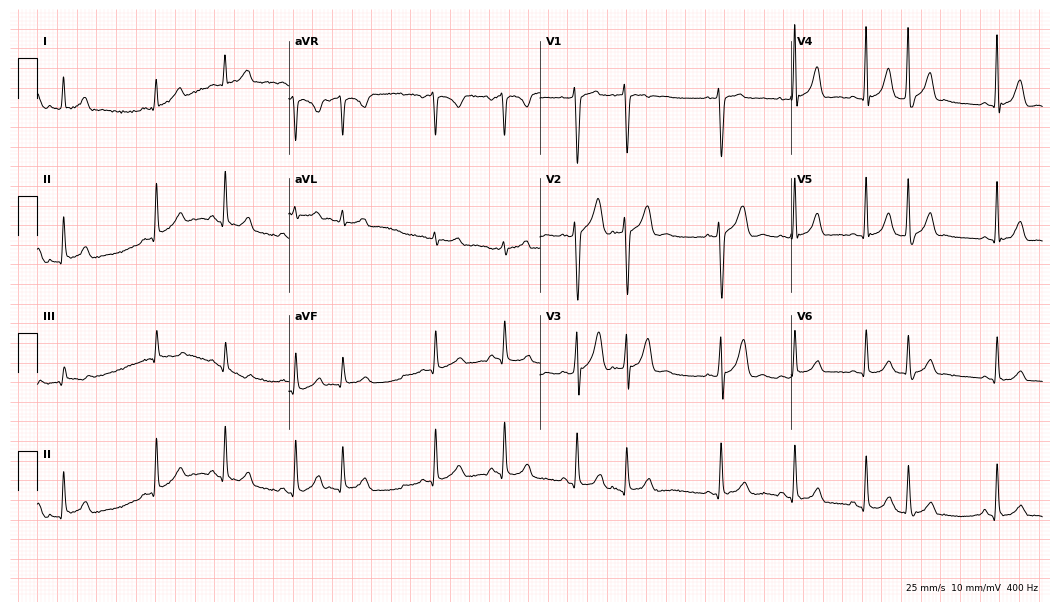
Electrocardiogram, a female, 26 years old. Overall reading on record: normal ECG.